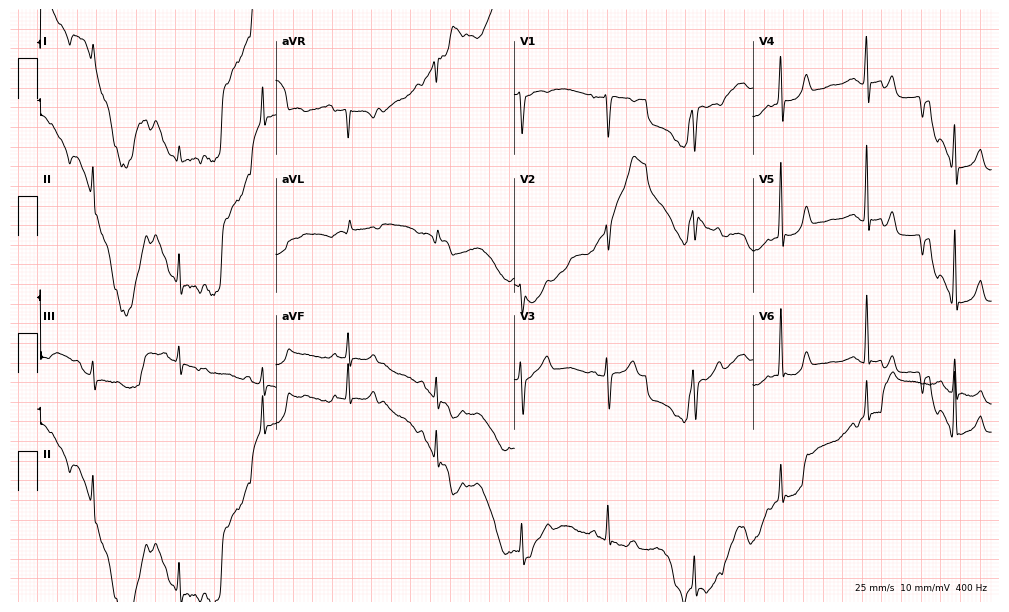
Standard 12-lead ECG recorded from an 80-year-old female (9.7-second recording at 400 Hz). Read as a normal ECG.